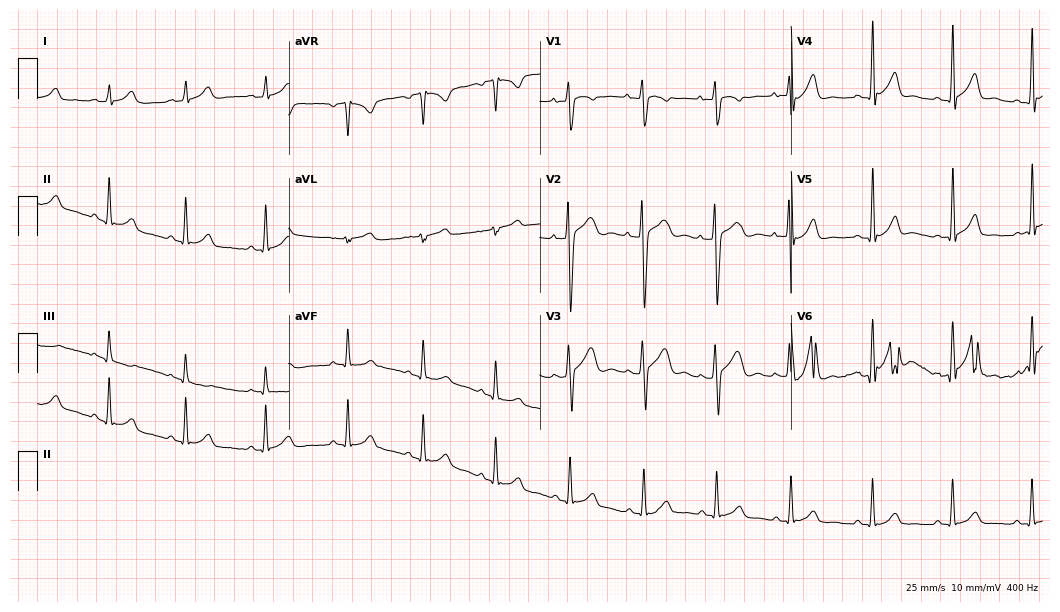
Standard 12-lead ECG recorded from a man, 20 years old (10.2-second recording at 400 Hz). Read as a normal ECG.